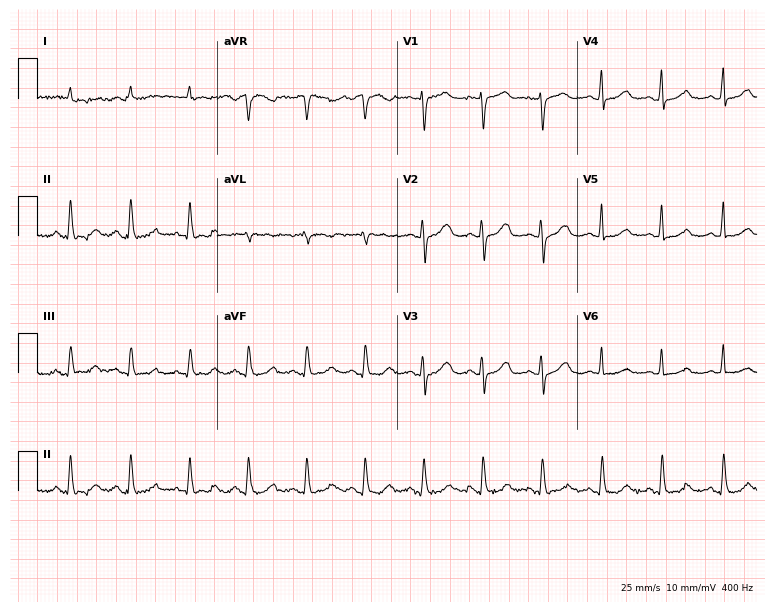
ECG (7.3-second recording at 400 Hz) — a female, 71 years old. Screened for six findings — first-degree AV block, right bundle branch block (RBBB), left bundle branch block (LBBB), sinus bradycardia, atrial fibrillation (AF), sinus tachycardia — none is recorded.